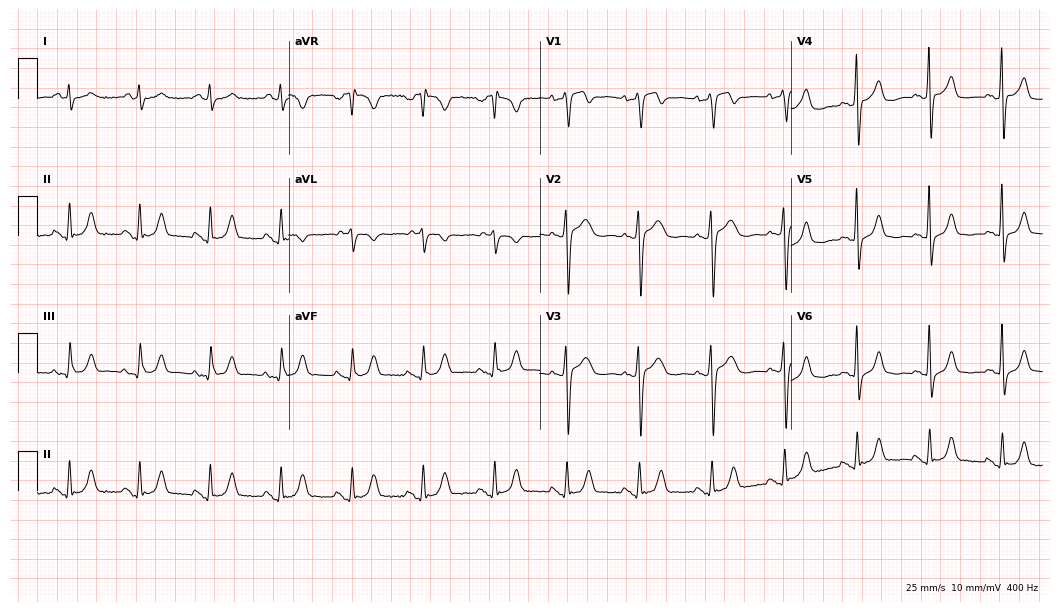
12-lead ECG (10.2-second recording at 400 Hz) from a male, 76 years old. Labelled as a normal ECG.